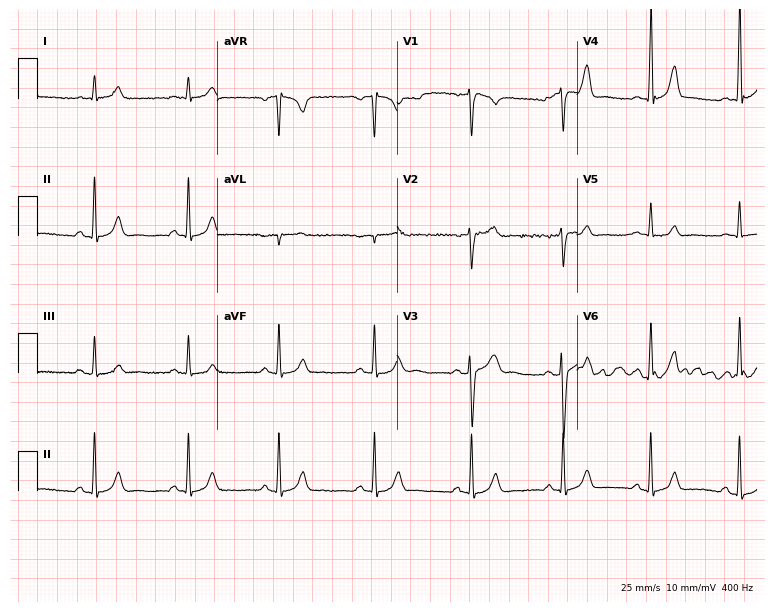
Electrocardiogram, a male, 34 years old. Overall reading on record: normal ECG.